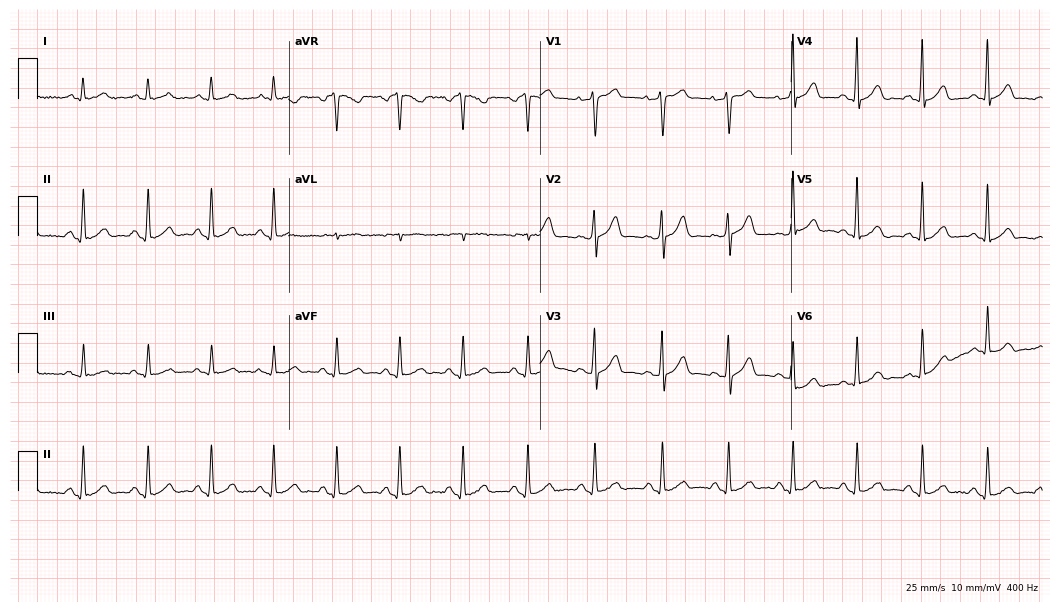
Electrocardiogram (10.2-second recording at 400 Hz), a male, 32 years old. Overall reading on record: normal ECG.